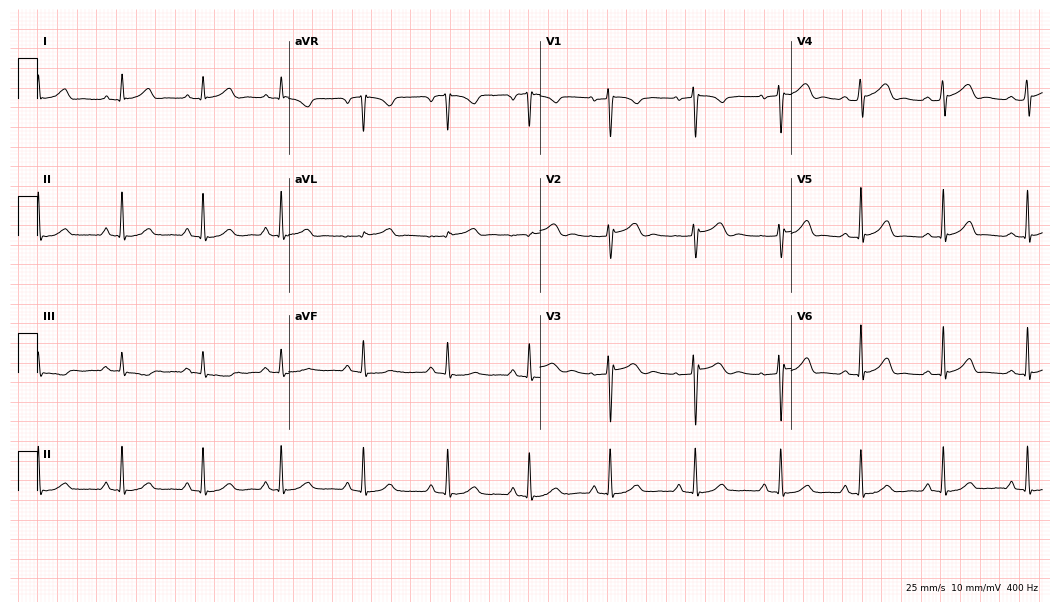
Resting 12-lead electrocardiogram (10.2-second recording at 400 Hz). Patient: a female, 30 years old. Read as a normal ECG.